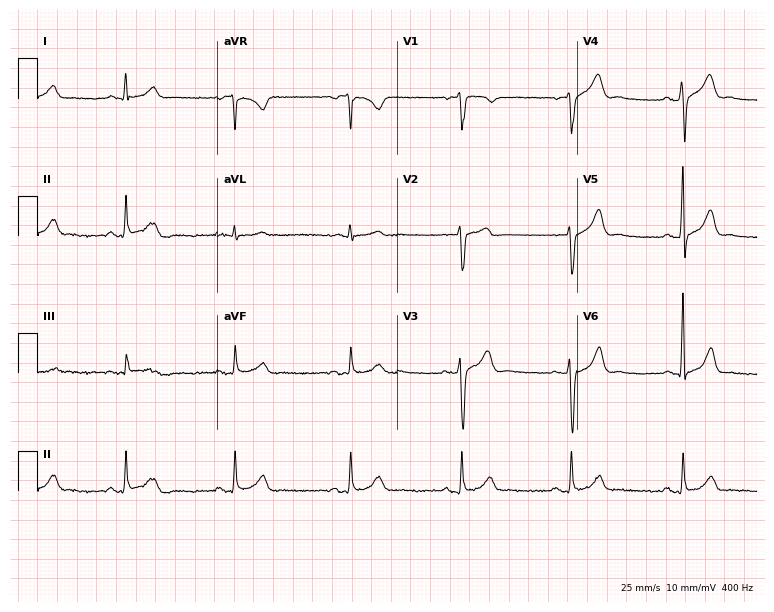
Resting 12-lead electrocardiogram (7.3-second recording at 400 Hz). Patient: a 59-year-old male. None of these six findings is recorded: first-degree AV block, right bundle branch block, left bundle branch block, sinus bradycardia, atrial fibrillation, sinus tachycardia.